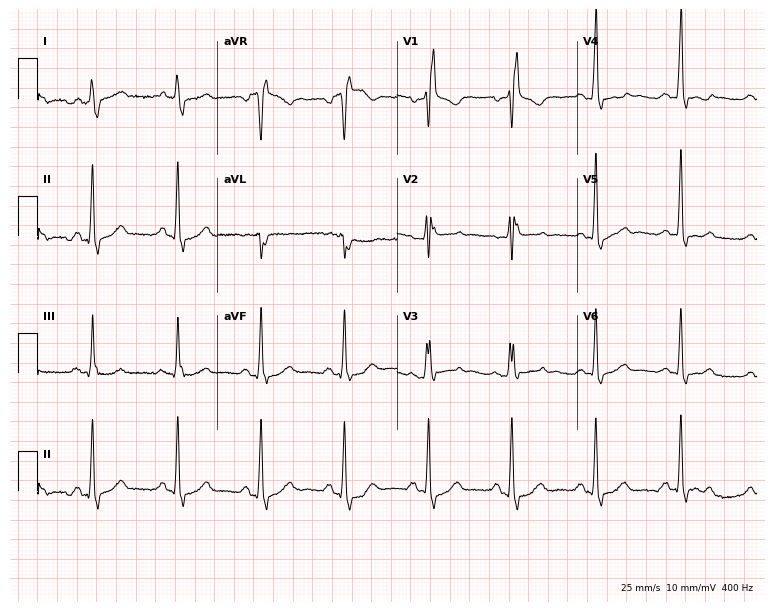
Resting 12-lead electrocardiogram. Patient: a female, 80 years old. The tracing shows right bundle branch block.